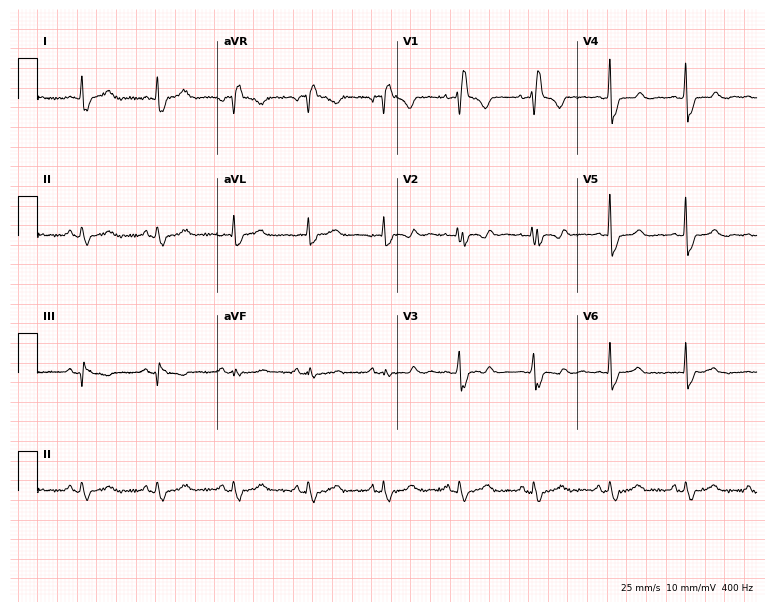
12-lead ECG from a 67-year-old woman (7.3-second recording at 400 Hz). Shows right bundle branch block.